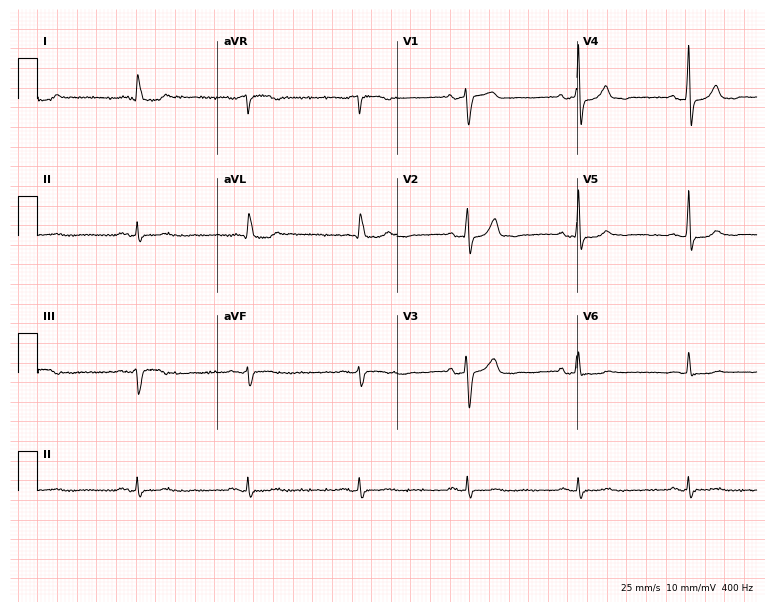
Standard 12-lead ECG recorded from a 79-year-old female (7.3-second recording at 400 Hz). None of these six findings is recorded: first-degree AV block, right bundle branch block, left bundle branch block, sinus bradycardia, atrial fibrillation, sinus tachycardia. Findings outside these six are not listed.